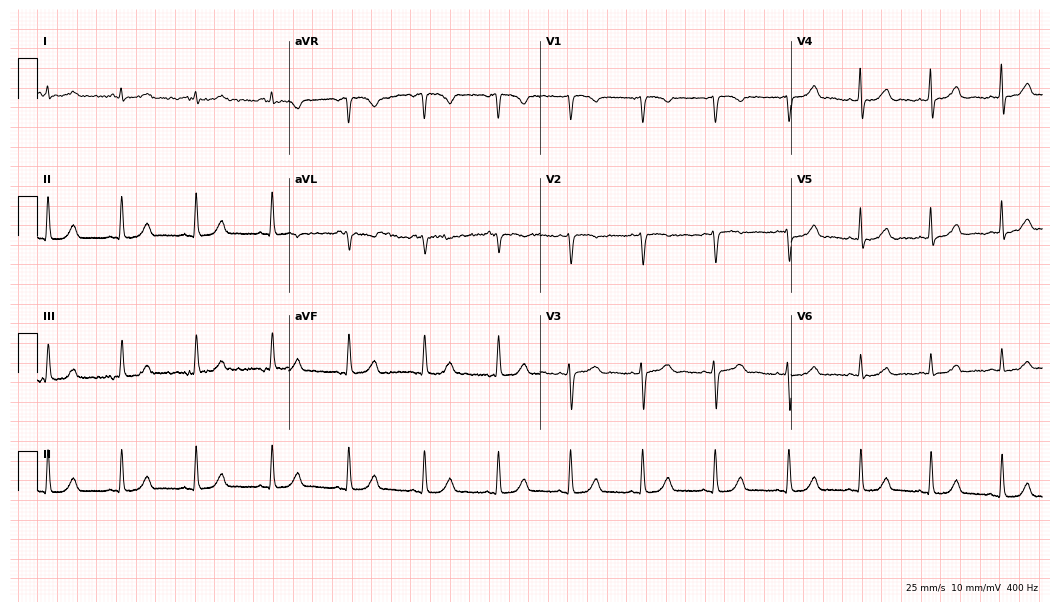
ECG (10.2-second recording at 400 Hz) — a female, 55 years old. Labelled as a normal ECG.